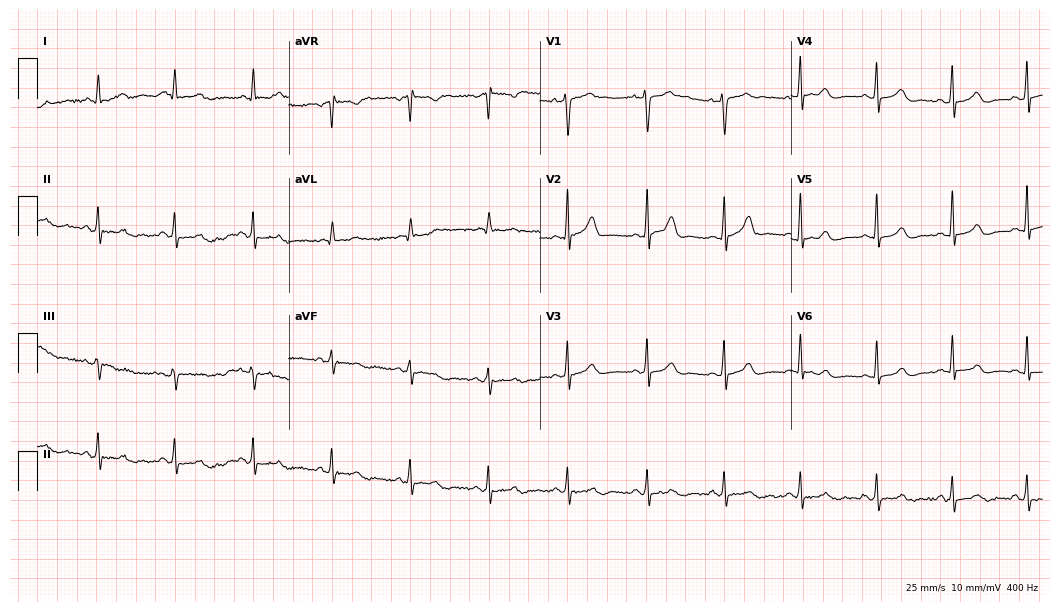
Resting 12-lead electrocardiogram. Patient: a female, 17 years old. Read as a normal ECG.